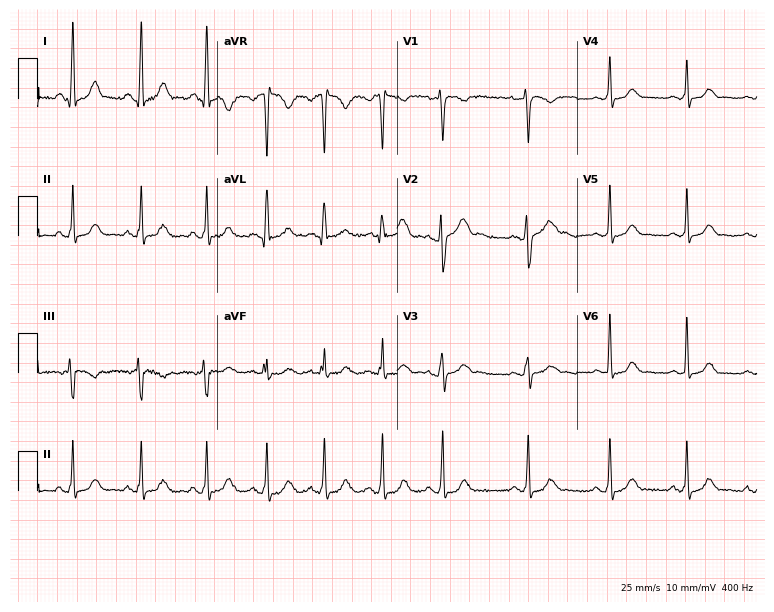
12-lead ECG (7.3-second recording at 400 Hz) from a 28-year-old female patient. Labelled as a normal ECG.